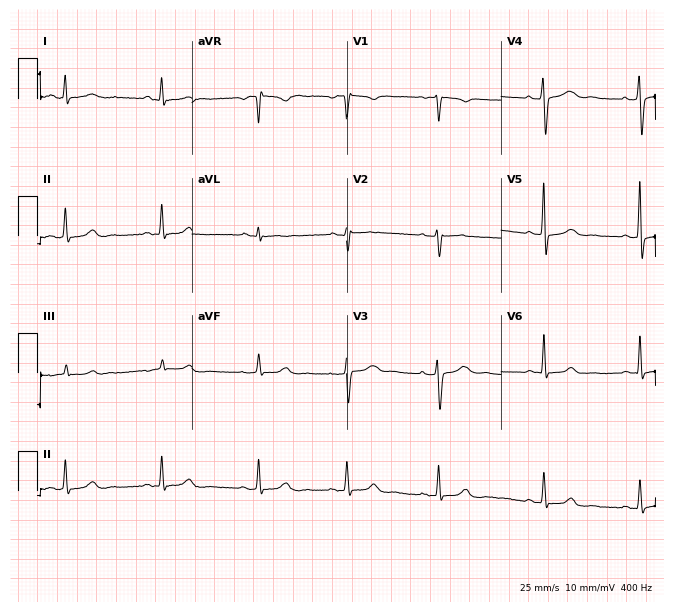
Standard 12-lead ECG recorded from a female, 32 years old (6.3-second recording at 400 Hz). None of these six findings is recorded: first-degree AV block, right bundle branch block, left bundle branch block, sinus bradycardia, atrial fibrillation, sinus tachycardia.